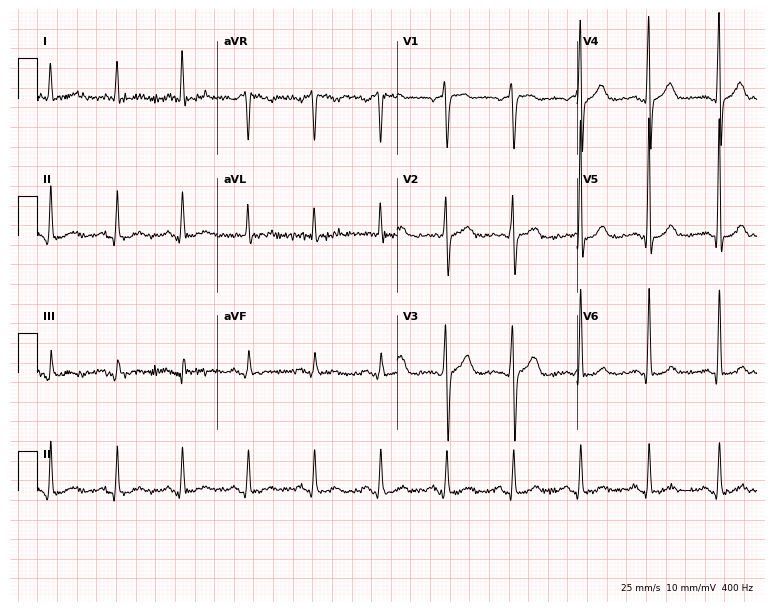
12-lead ECG from a man, 70 years old. Recorded interpretation: within normal limits.